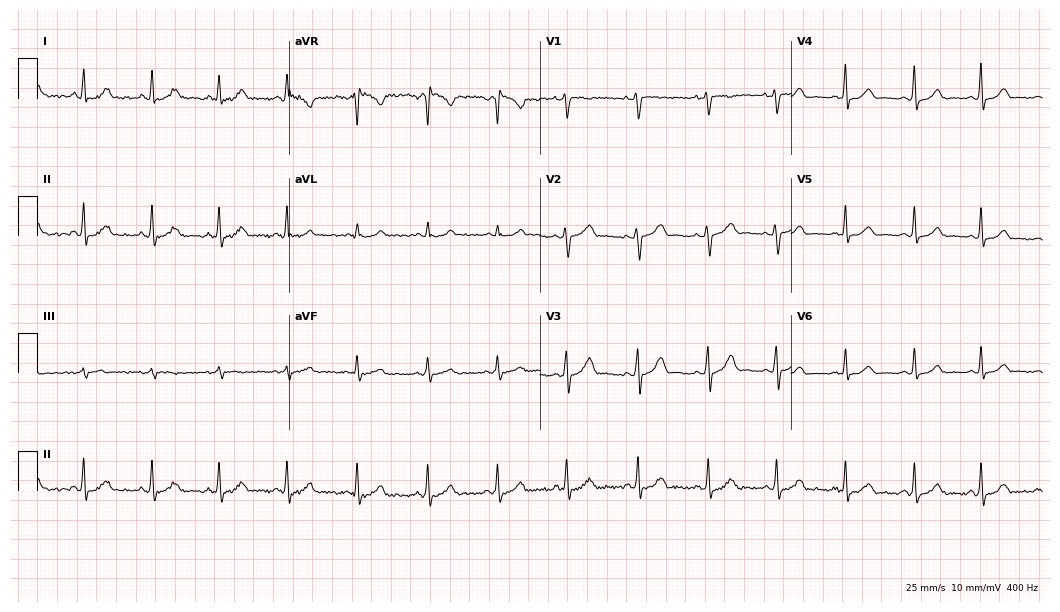
Electrocardiogram (10.2-second recording at 400 Hz), a female, 26 years old. Overall reading on record: normal ECG.